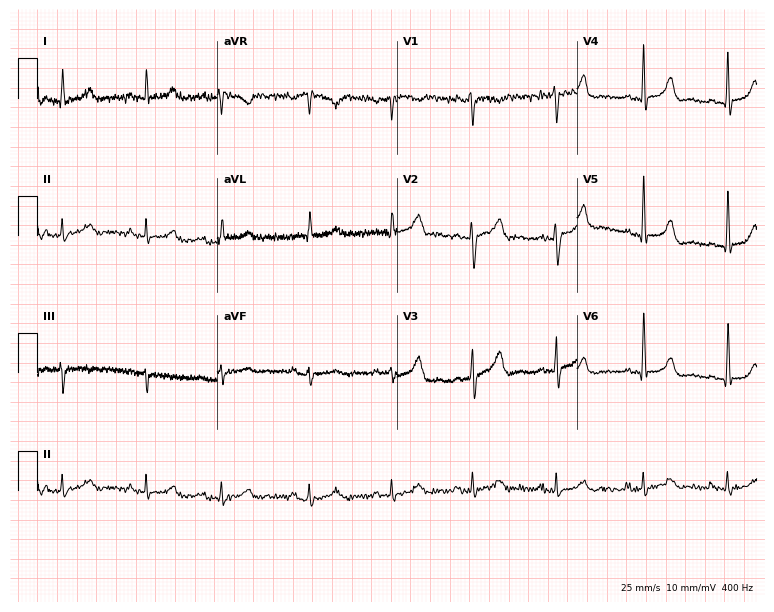
12-lead ECG from a man, 68 years old (7.3-second recording at 400 Hz). No first-degree AV block, right bundle branch block, left bundle branch block, sinus bradycardia, atrial fibrillation or sinus tachycardia recorded for this tracing.